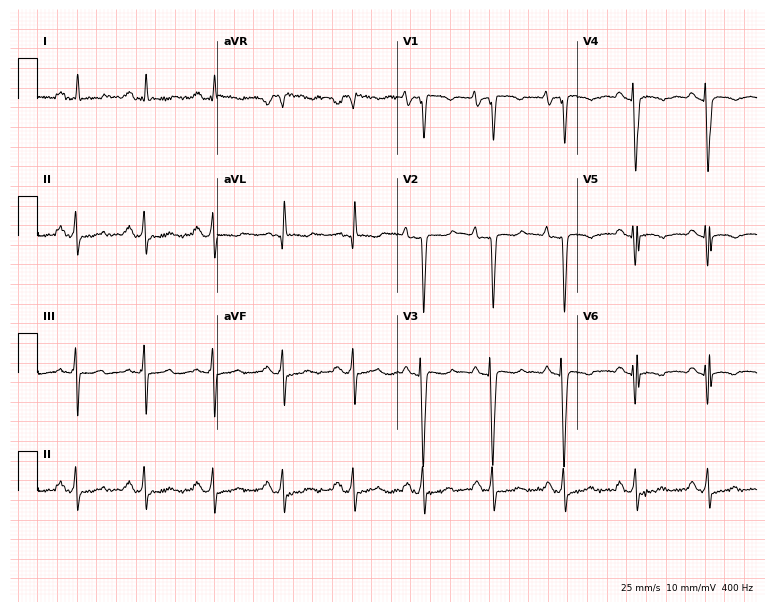
12-lead ECG from a 42-year-old female. No first-degree AV block, right bundle branch block, left bundle branch block, sinus bradycardia, atrial fibrillation or sinus tachycardia recorded for this tracing.